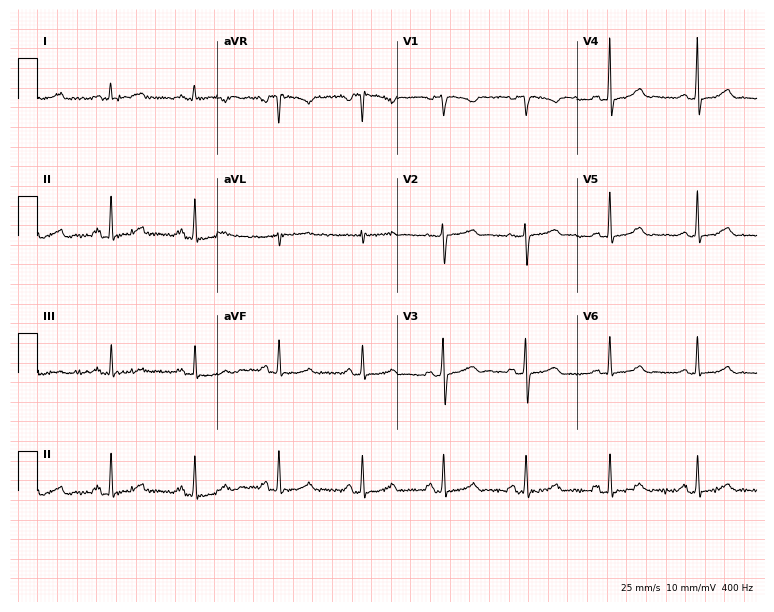
Electrocardiogram, a 38-year-old woman. Overall reading on record: normal ECG.